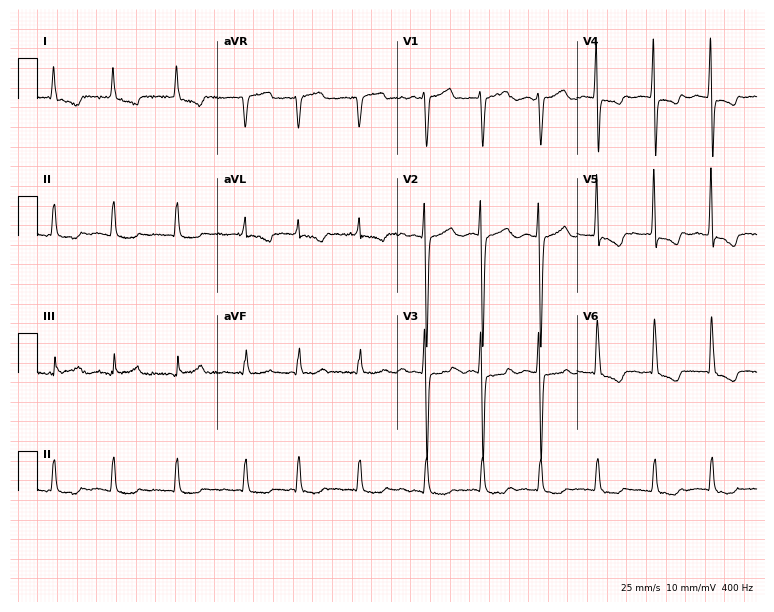
ECG (7.3-second recording at 400 Hz) — a female patient, 55 years old. Findings include atrial fibrillation.